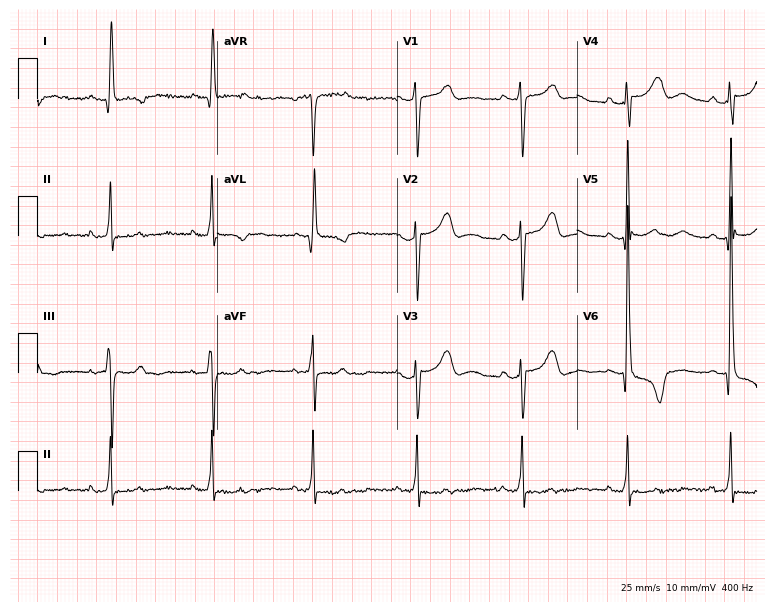
Standard 12-lead ECG recorded from a woman, 53 years old. None of these six findings is recorded: first-degree AV block, right bundle branch block (RBBB), left bundle branch block (LBBB), sinus bradycardia, atrial fibrillation (AF), sinus tachycardia. Findings outside these six are not listed.